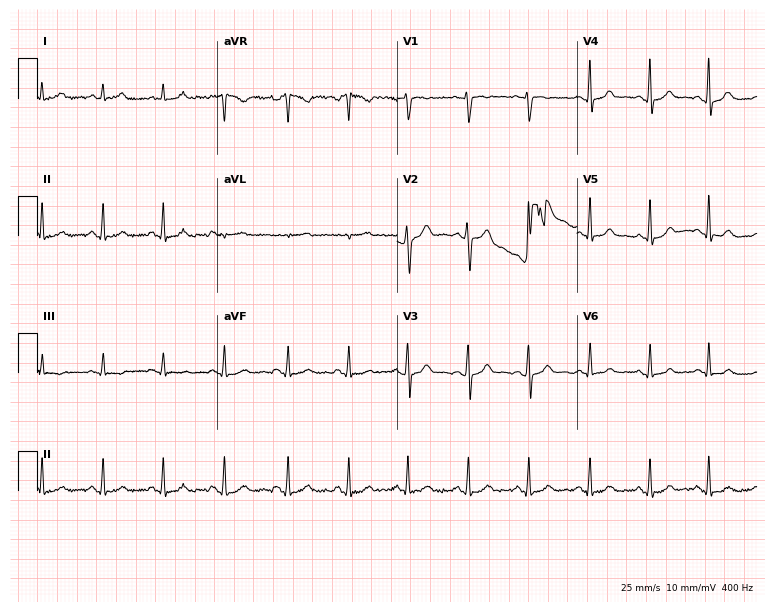
Resting 12-lead electrocardiogram (7.3-second recording at 400 Hz). Patient: a female, 29 years old. Read as a normal ECG.